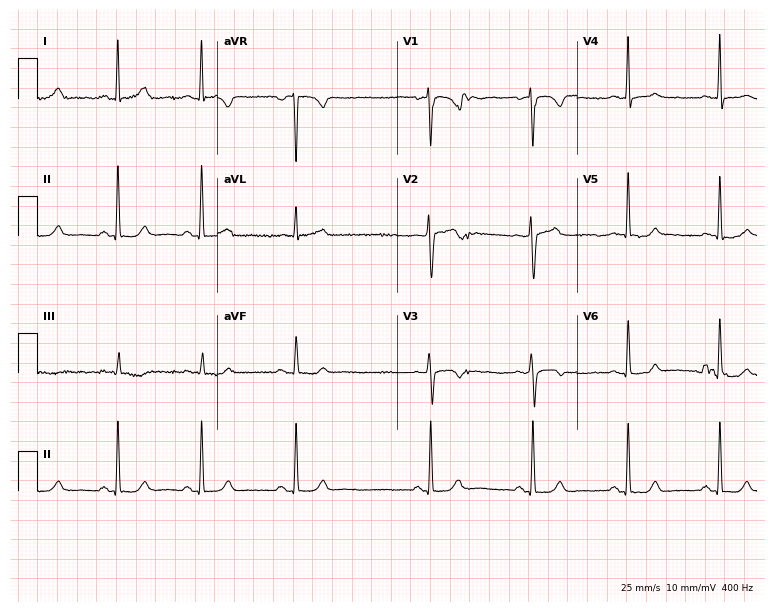
Resting 12-lead electrocardiogram. Patient: a 46-year-old woman. Read as a normal ECG.